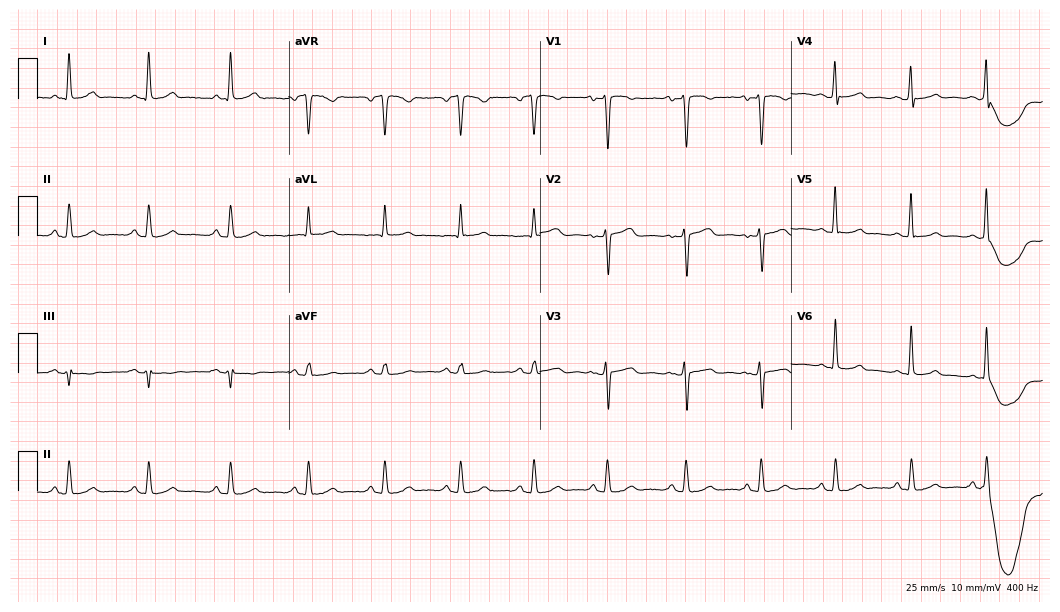
Resting 12-lead electrocardiogram (10.2-second recording at 400 Hz). Patient: a 43-year-old female. None of these six findings is recorded: first-degree AV block, right bundle branch block, left bundle branch block, sinus bradycardia, atrial fibrillation, sinus tachycardia.